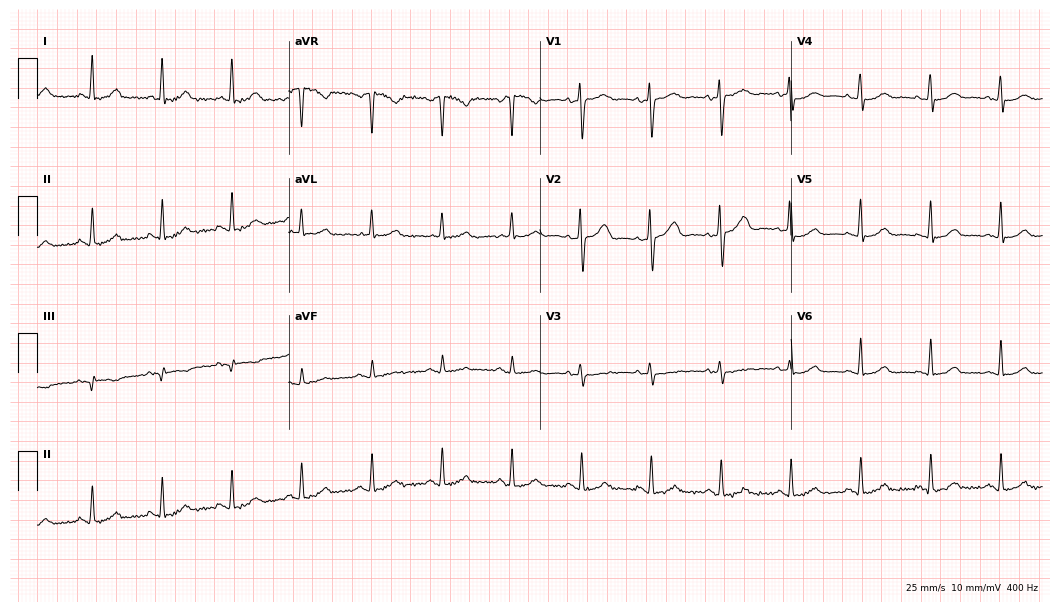
12-lead ECG (10.2-second recording at 400 Hz) from a 43-year-old female patient. Screened for six findings — first-degree AV block, right bundle branch block (RBBB), left bundle branch block (LBBB), sinus bradycardia, atrial fibrillation (AF), sinus tachycardia — none is recorded.